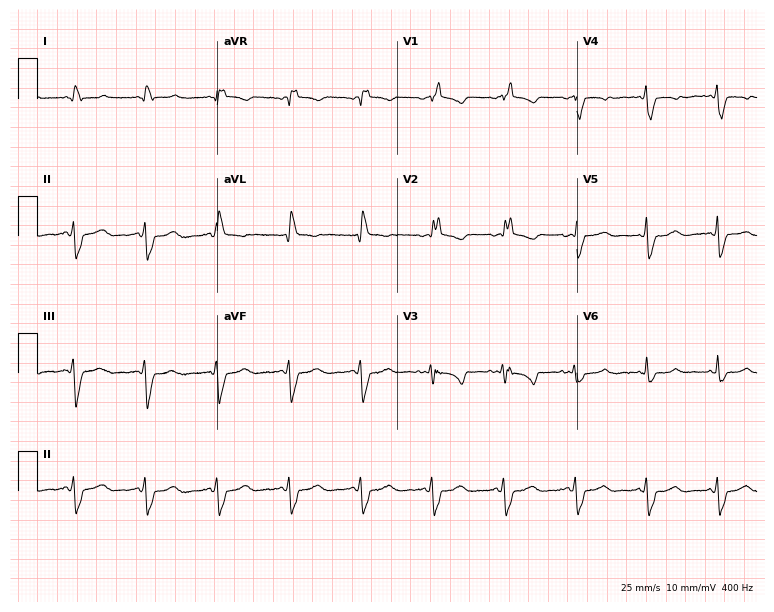
Resting 12-lead electrocardiogram. Patient: a 47-year-old female. The tracing shows right bundle branch block.